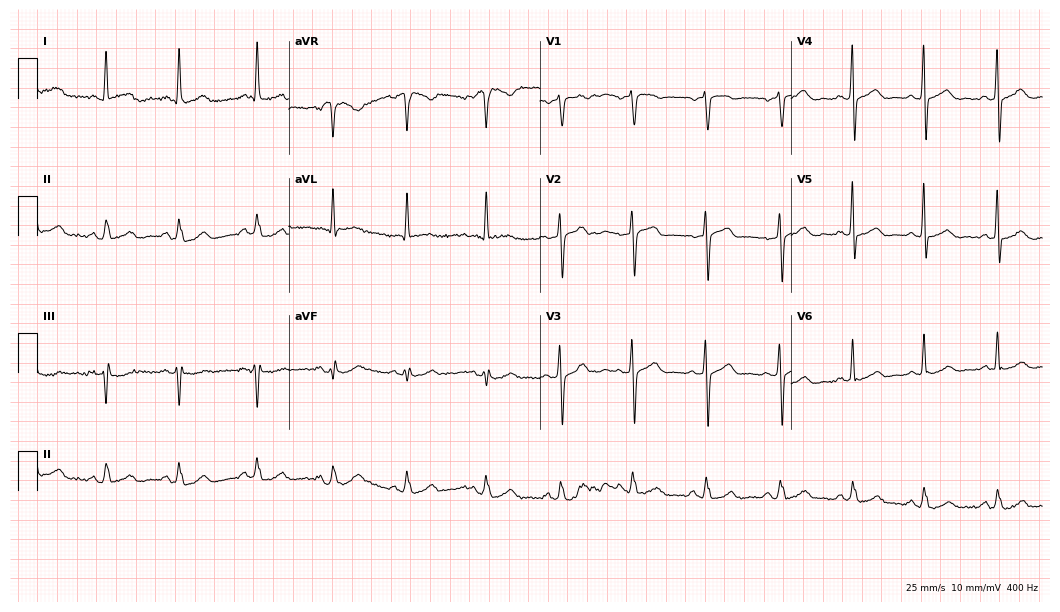
ECG (10.2-second recording at 400 Hz) — a male, 53 years old. Labelled as a normal ECG.